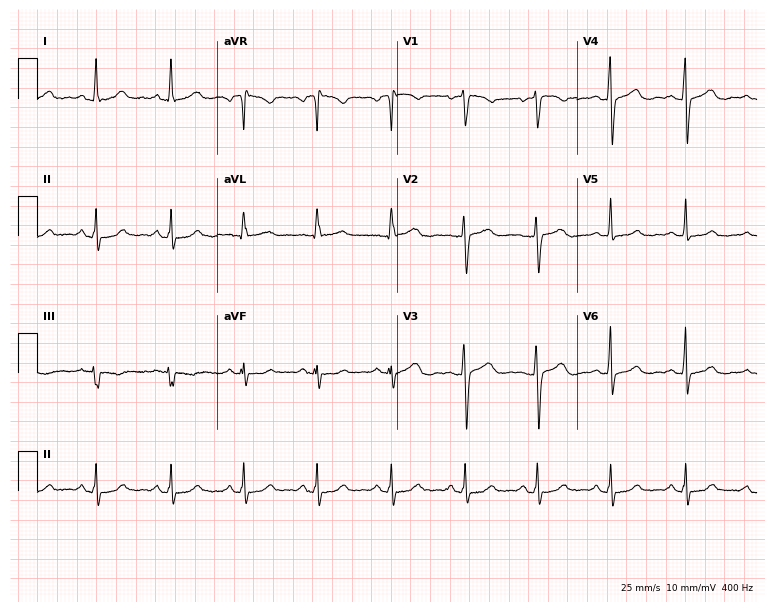
12-lead ECG from a 50-year-old woman (7.3-second recording at 400 Hz). Recorded interpretation: within normal limits.